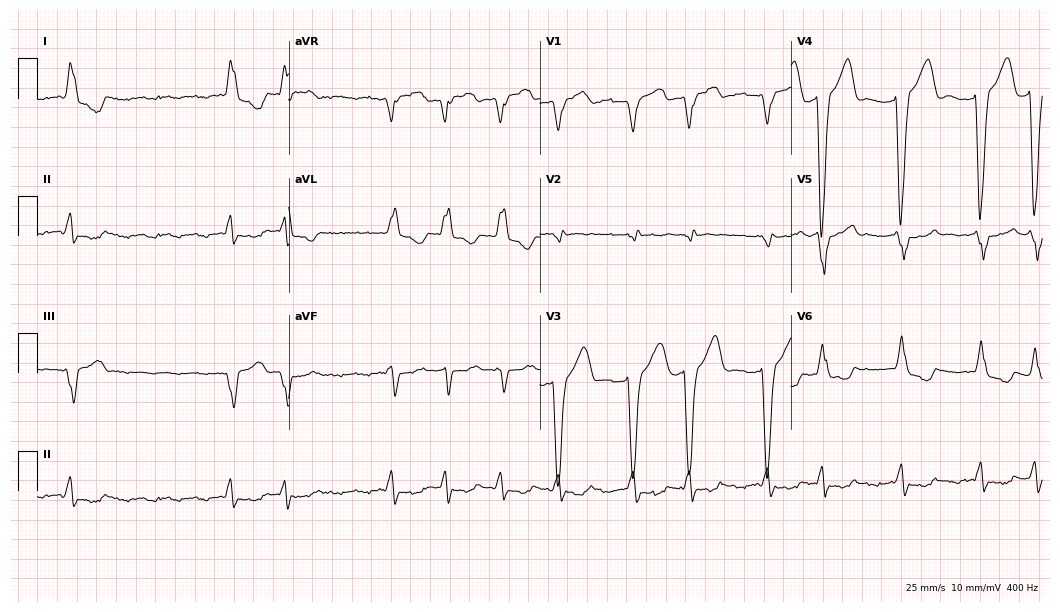
ECG (10.2-second recording at 400 Hz) — a 73-year-old woman. Findings include left bundle branch block (LBBB), atrial fibrillation (AF).